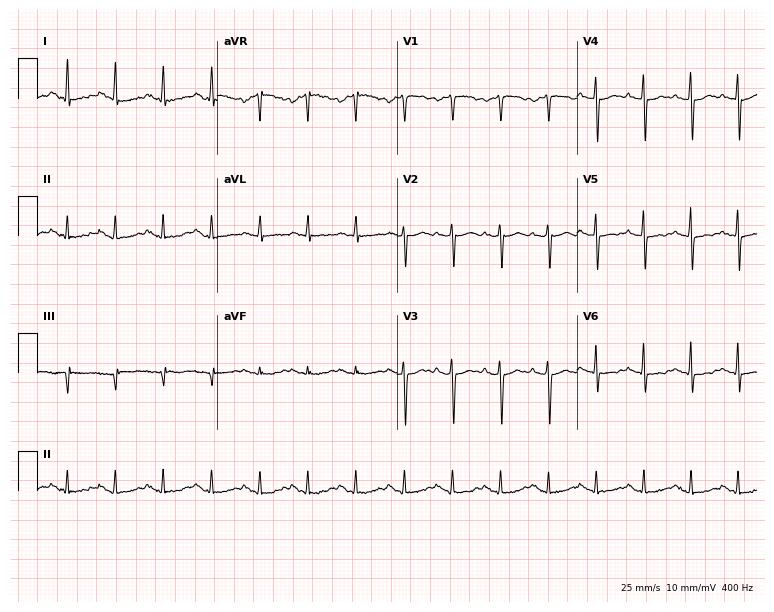
Standard 12-lead ECG recorded from a 50-year-old female (7.3-second recording at 400 Hz). The tracing shows sinus tachycardia (a sinus rate of 100 beats per minute or more).